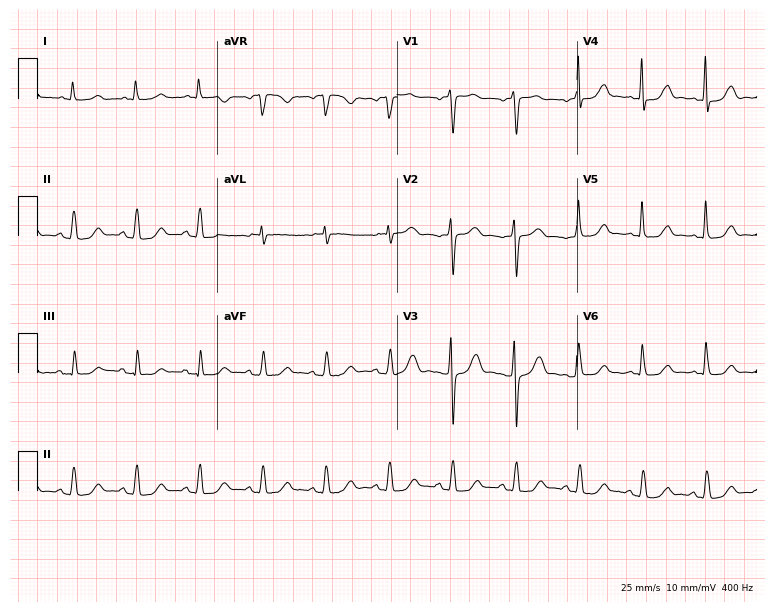
12-lead ECG from a 68-year-old female. No first-degree AV block, right bundle branch block, left bundle branch block, sinus bradycardia, atrial fibrillation or sinus tachycardia recorded for this tracing. Only these six findings were labelled.